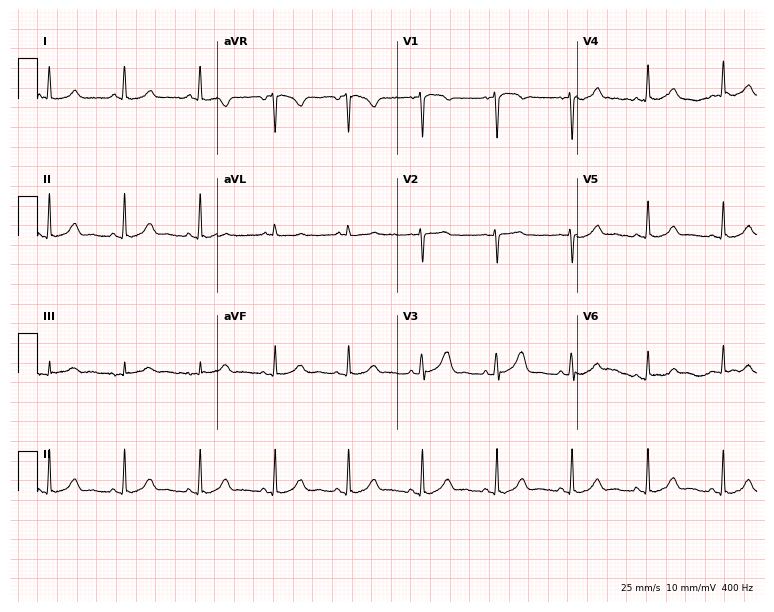
Standard 12-lead ECG recorded from a 62-year-old woman (7.3-second recording at 400 Hz). None of these six findings is recorded: first-degree AV block, right bundle branch block, left bundle branch block, sinus bradycardia, atrial fibrillation, sinus tachycardia.